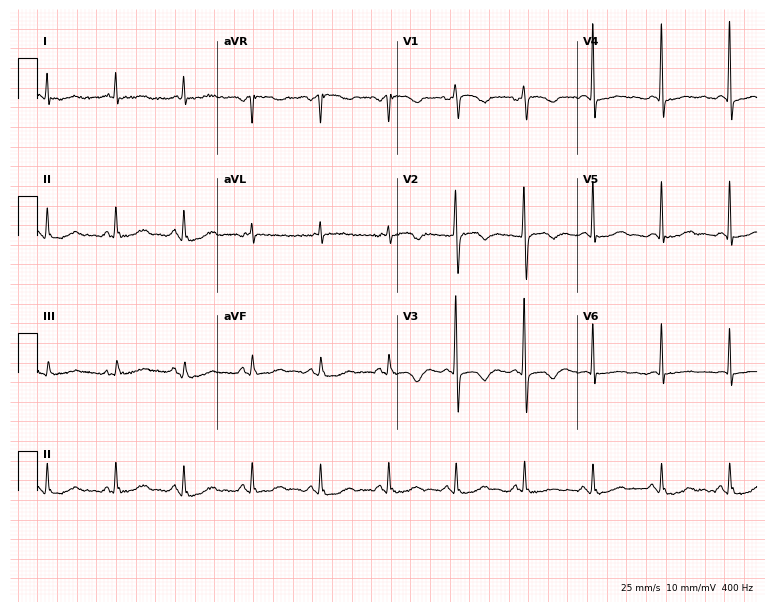
ECG — an 80-year-old female. Screened for six findings — first-degree AV block, right bundle branch block (RBBB), left bundle branch block (LBBB), sinus bradycardia, atrial fibrillation (AF), sinus tachycardia — none is recorded. Findings outside these six are not listed.